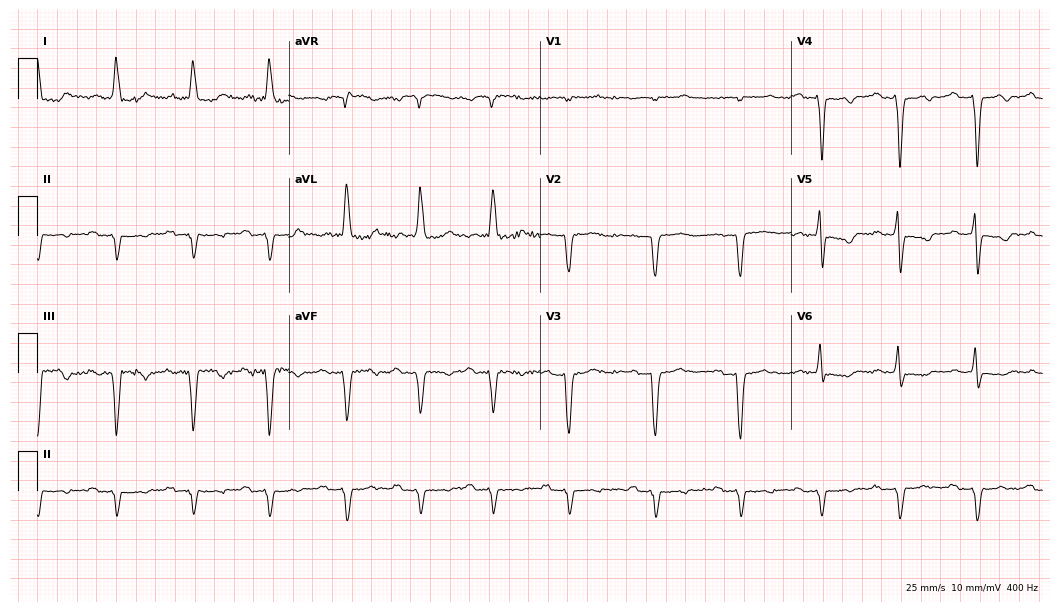
12-lead ECG from a 77-year-old female. Shows first-degree AV block, left bundle branch block (LBBB).